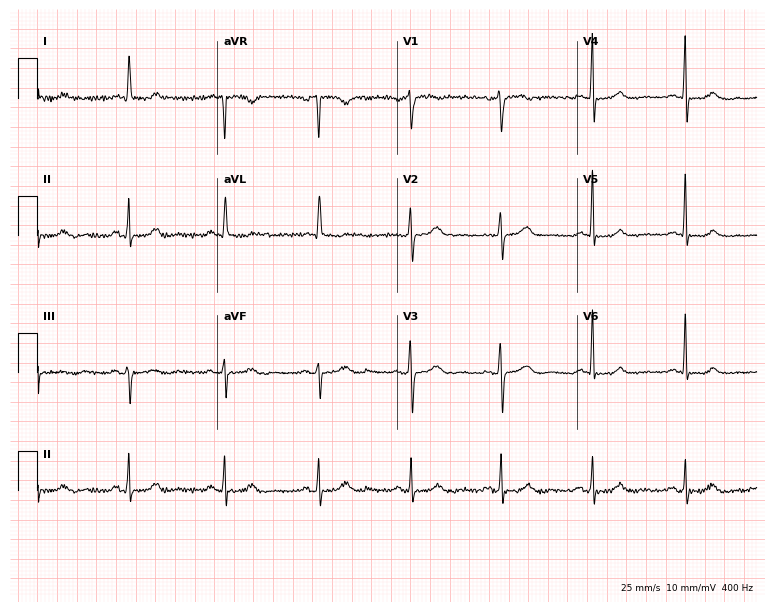
12-lead ECG from a female, 67 years old (7.3-second recording at 400 Hz). Recorded interpretation: within normal limits.